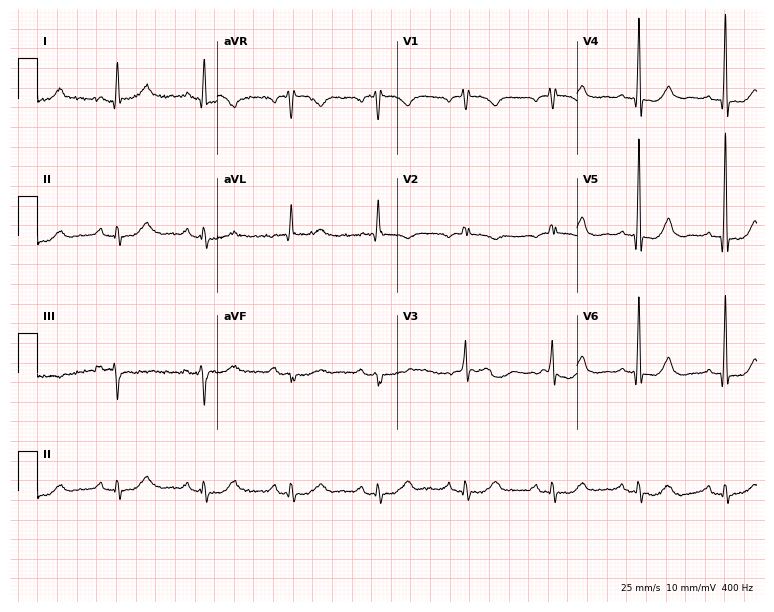
Resting 12-lead electrocardiogram (7.3-second recording at 400 Hz). Patient: an 81-year-old female. Read as a normal ECG.